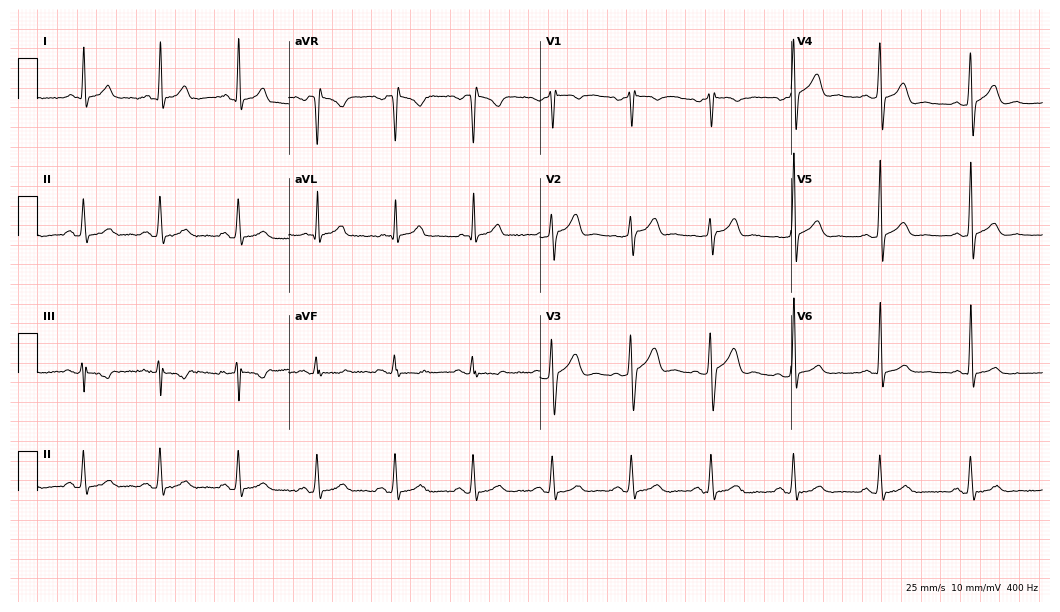
12-lead ECG from a 52-year-old male. No first-degree AV block, right bundle branch block (RBBB), left bundle branch block (LBBB), sinus bradycardia, atrial fibrillation (AF) or sinus tachycardia recorded for this tracing. Other findings, if any, are not listed.